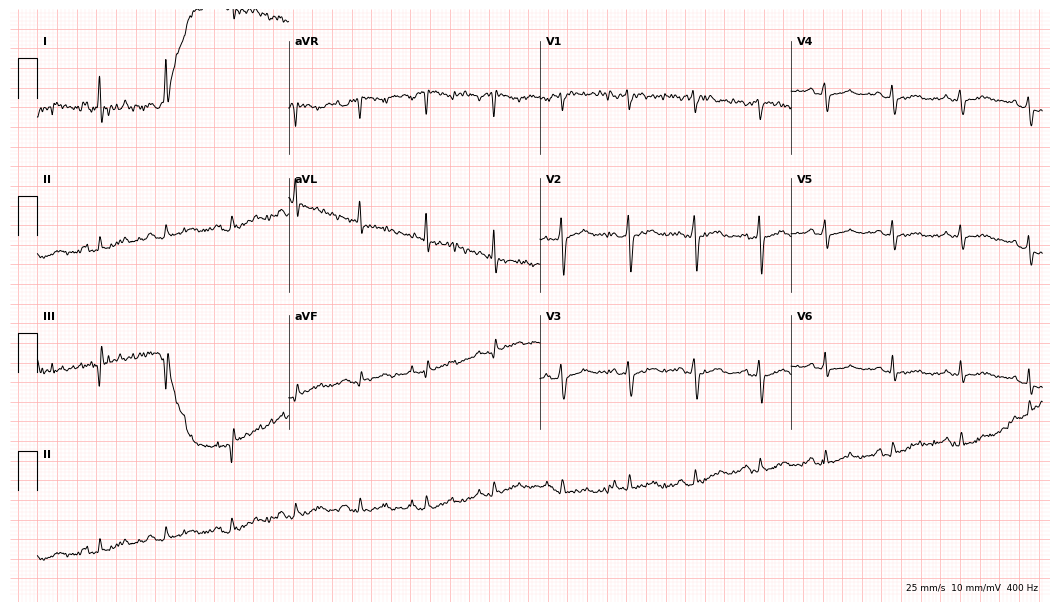
Electrocardiogram (10.2-second recording at 400 Hz), a 54-year-old female patient. Of the six screened findings (first-degree AV block, right bundle branch block (RBBB), left bundle branch block (LBBB), sinus bradycardia, atrial fibrillation (AF), sinus tachycardia), none is recorded. Findings outside these six are not listed.